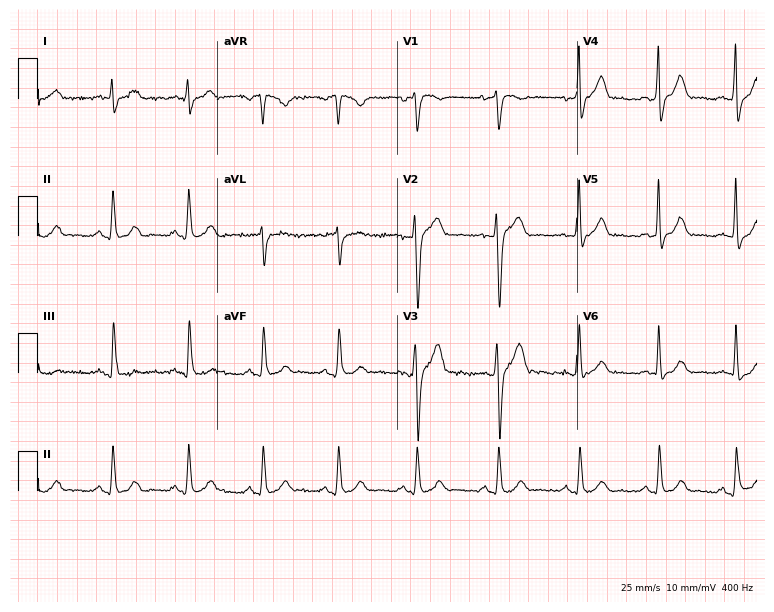
12-lead ECG from a male, 47 years old. No first-degree AV block, right bundle branch block, left bundle branch block, sinus bradycardia, atrial fibrillation or sinus tachycardia recorded for this tracing.